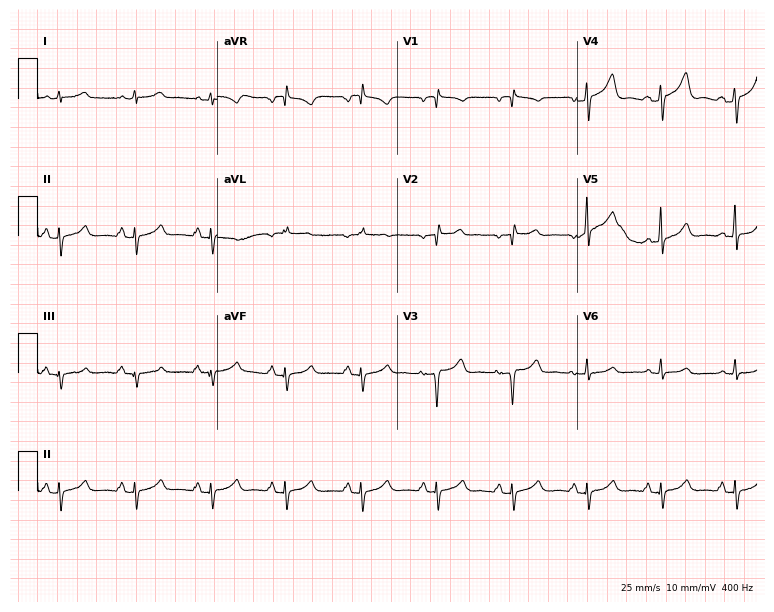
12-lead ECG (7.3-second recording at 400 Hz) from a 60-year-old woman. Screened for six findings — first-degree AV block, right bundle branch block, left bundle branch block, sinus bradycardia, atrial fibrillation, sinus tachycardia — none is recorded. Findings outside these six are not listed.